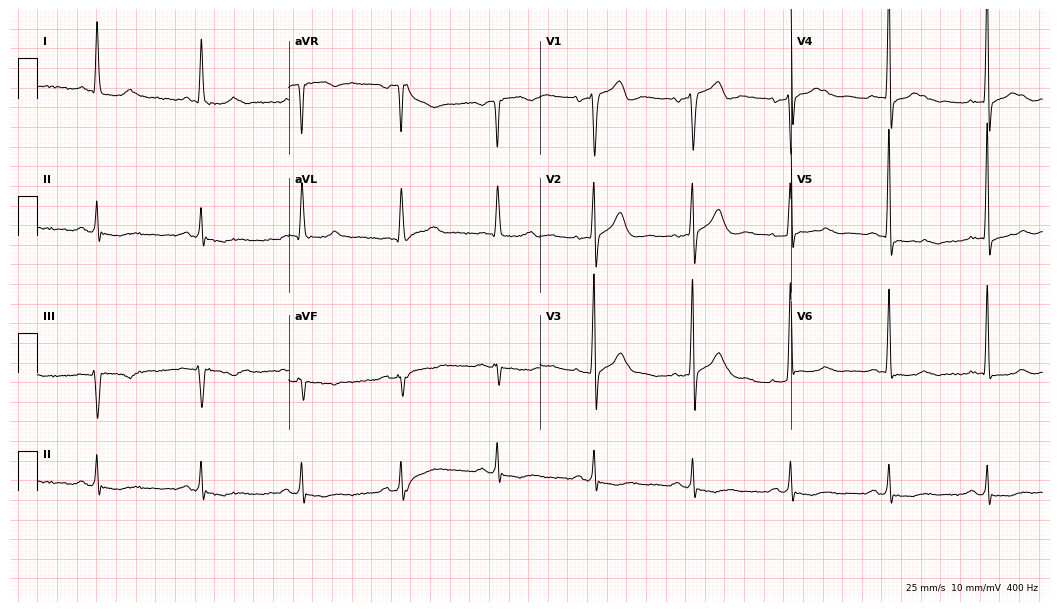
Electrocardiogram (10.2-second recording at 400 Hz), a male, 85 years old. Of the six screened findings (first-degree AV block, right bundle branch block (RBBB), left bundle branch block (LBBB), sinus bradycardia, atrial fibrillation (AF), sinus tachycardia), none is recorded.